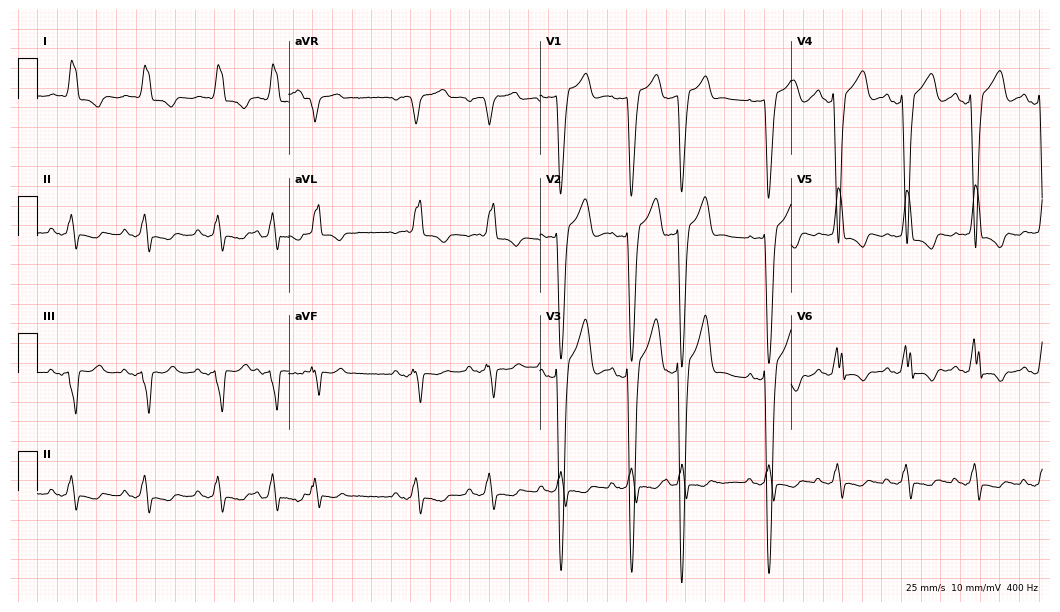
Electrocardiogram, a male, 77 years old. Interpretation includes left bundle branch block.